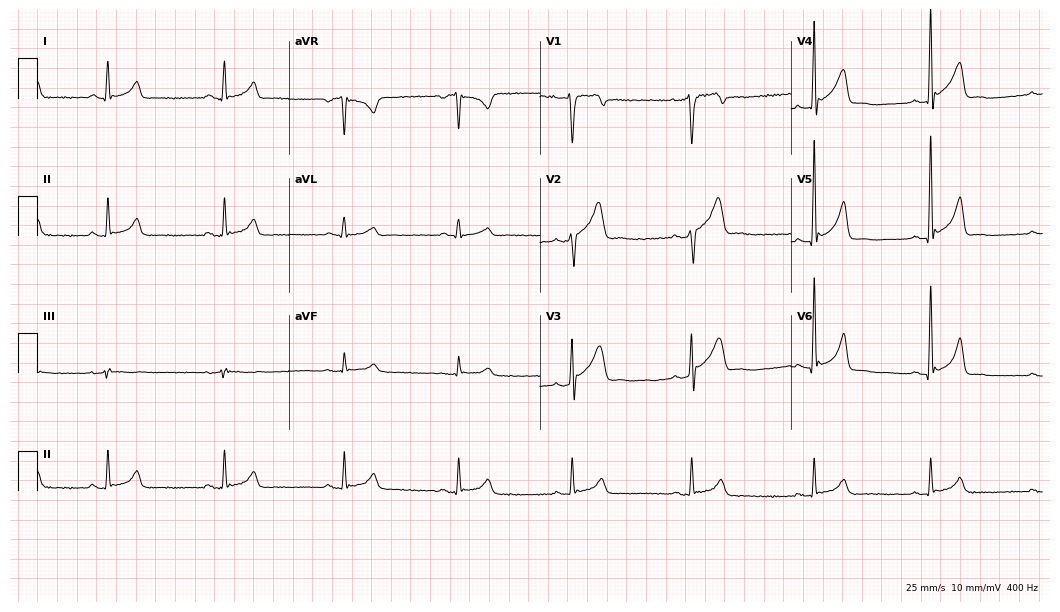
12-lead ECG from a man, 36 years old (10.2-second recording at 400 Hz). No first-degree AV block, right bundle branch block, left bundle branch block, sinus bradycardia, atrial fibrillation or sinus tachycardia recorded for this tracing. Only these six findings were labelled.